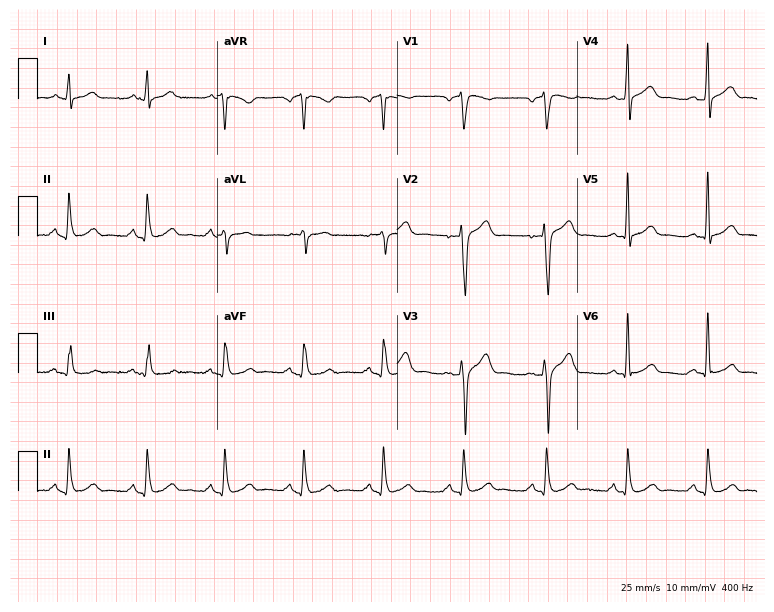
ECG (7.3-second recording at 400 Hz) — a 43-year-old male. Labelled as a normal ECG.